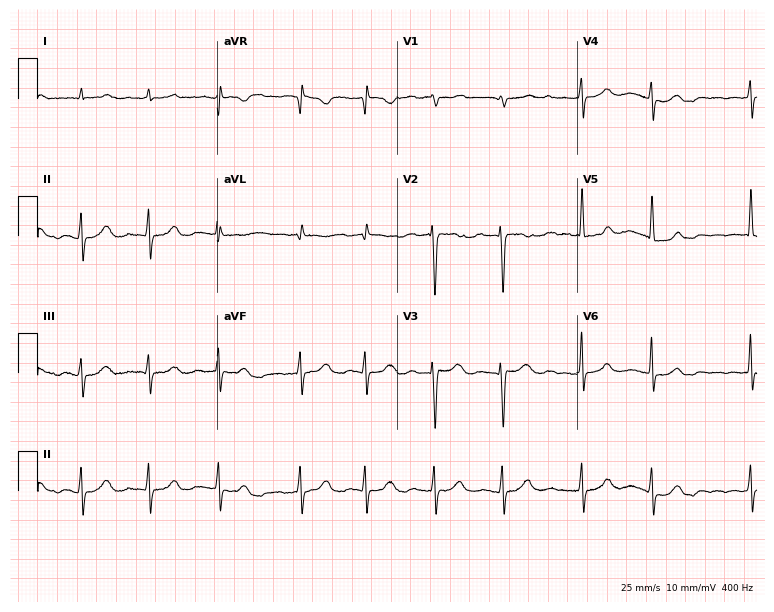
12-lead ECG from a male, 84 years old (7.3-second recording at 400 Hz). Shows atrial fibrillation (AF).